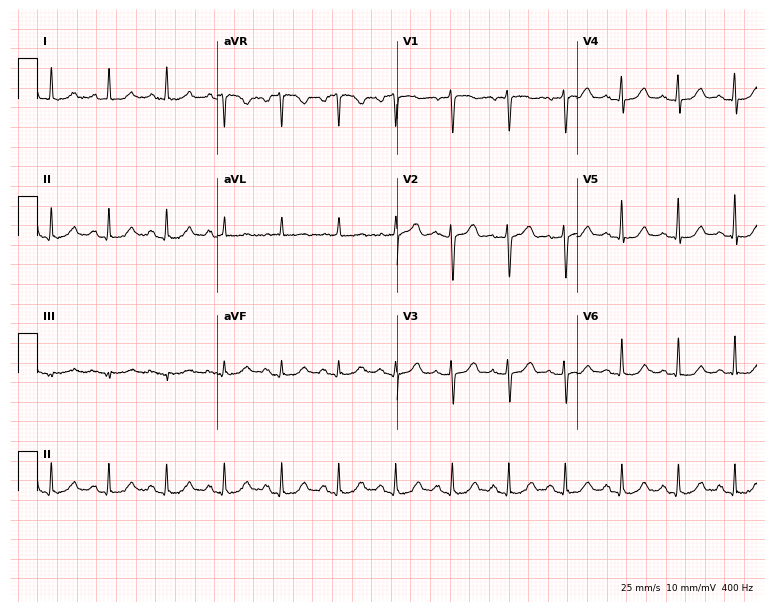
Resting 12-lead electrocardiogram (7.3-second recording at 400 Hz). Patient: a female, 44 years old. The tracing shows sinus tachycardia (a sinus rate of 100 beats per minute or more).